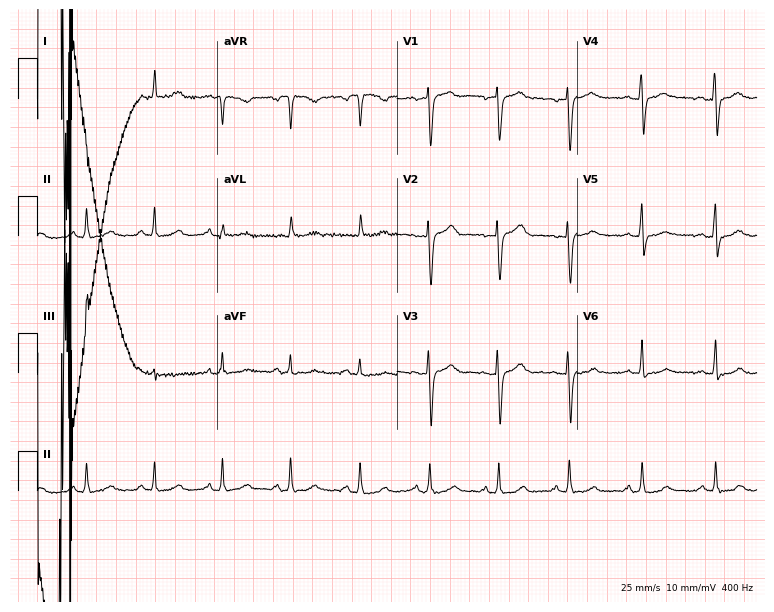
Resting 12-lead electrocardiogram (7.3-second recording at 400 Hz). Patient: a female, 37 years old. None of these six findings is recorded: first-degree AV block, right bundle branch block, left bundle branch block, sinus bradycardia, atrial fibrillation, sinus tachycardia. Findings outside these six are not listed.